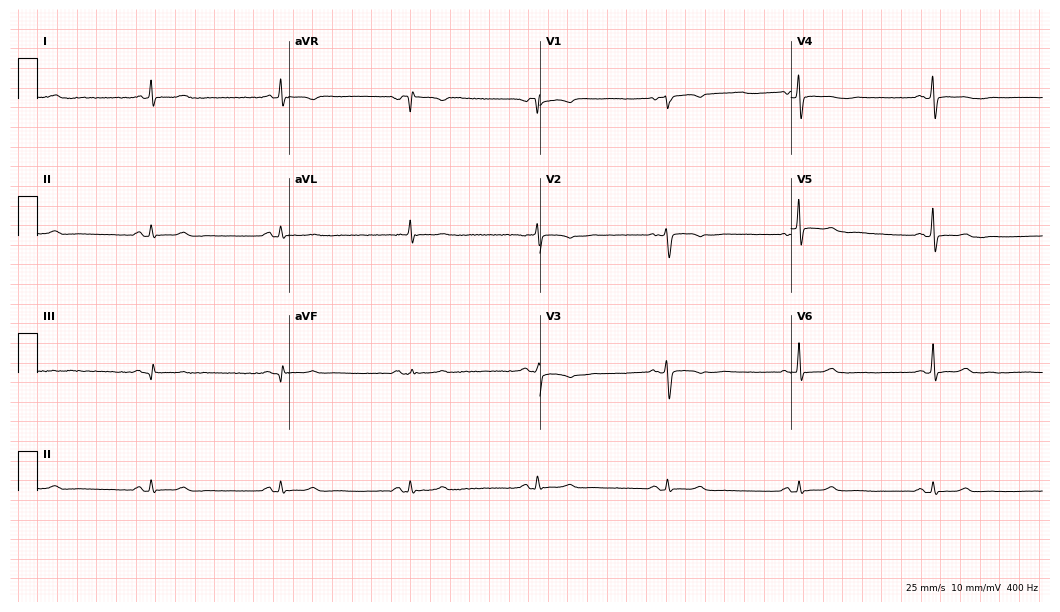
ECG (10.2-second recording at 400 Hz) — a 57-year-old woman. Labelled as a normal ECG.